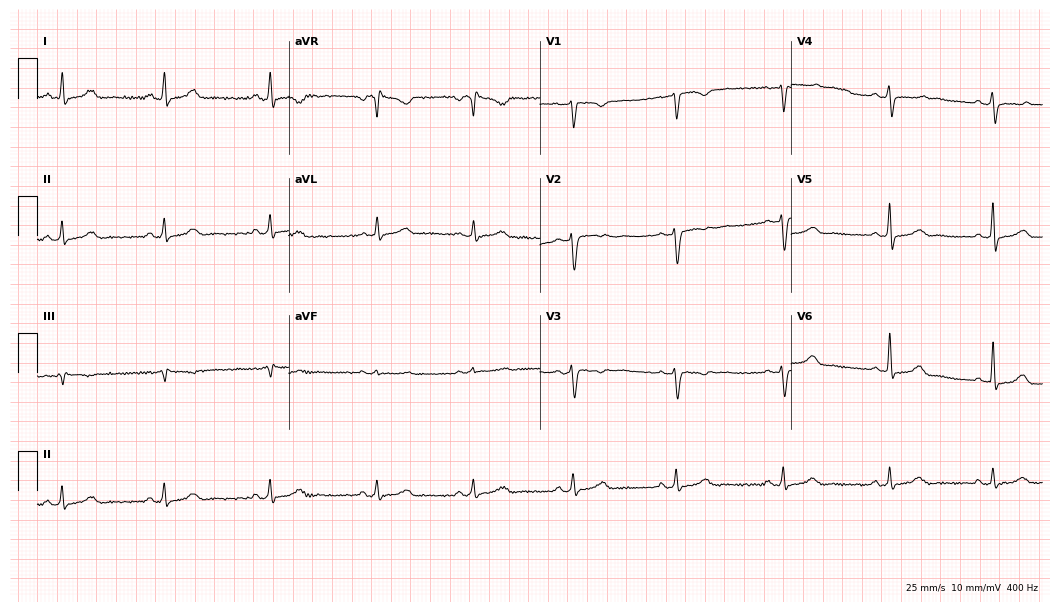
12-lead ECG from a 32-year-old woman (10.2-second recording at 400 Hz). Recorded interpretation: within normal limits.